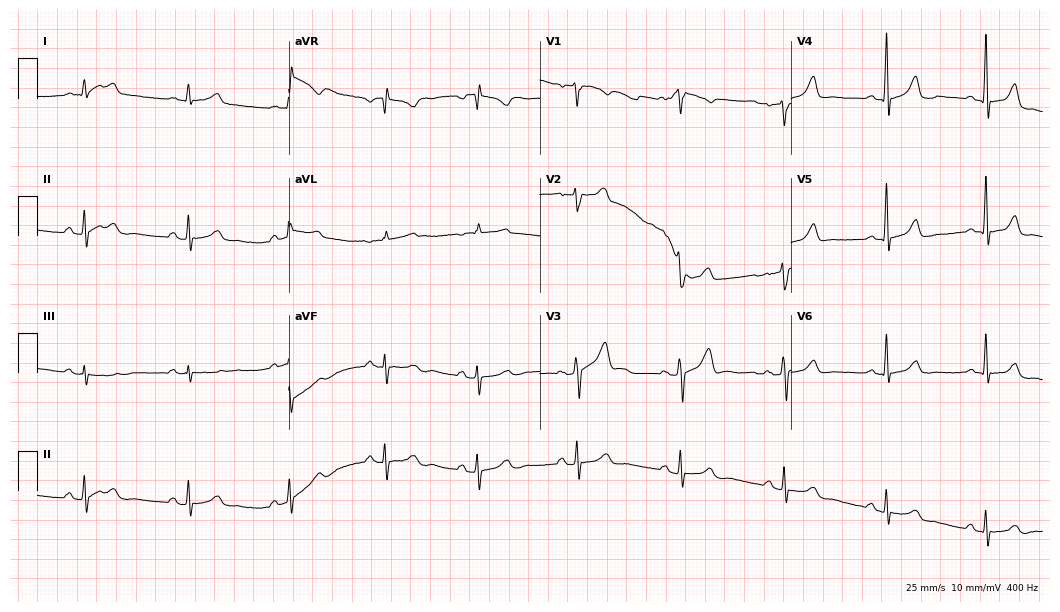
ECG — a 47-year-old male patient. Labelled as a normal ECG.